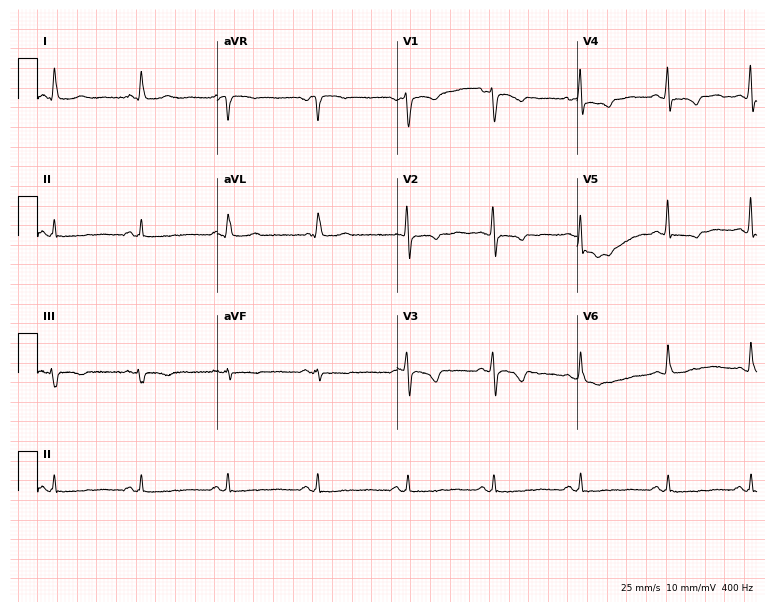
Standard 12-lead ECG recorded from a woman, 53 years old (7.3-second recording at 400 Hz). None of these six findings is recorded: first-degree AV block, right bundle branch block, left bundle branch block, sinus bradycardia, atrial fibrillation, sinus tachycardia.